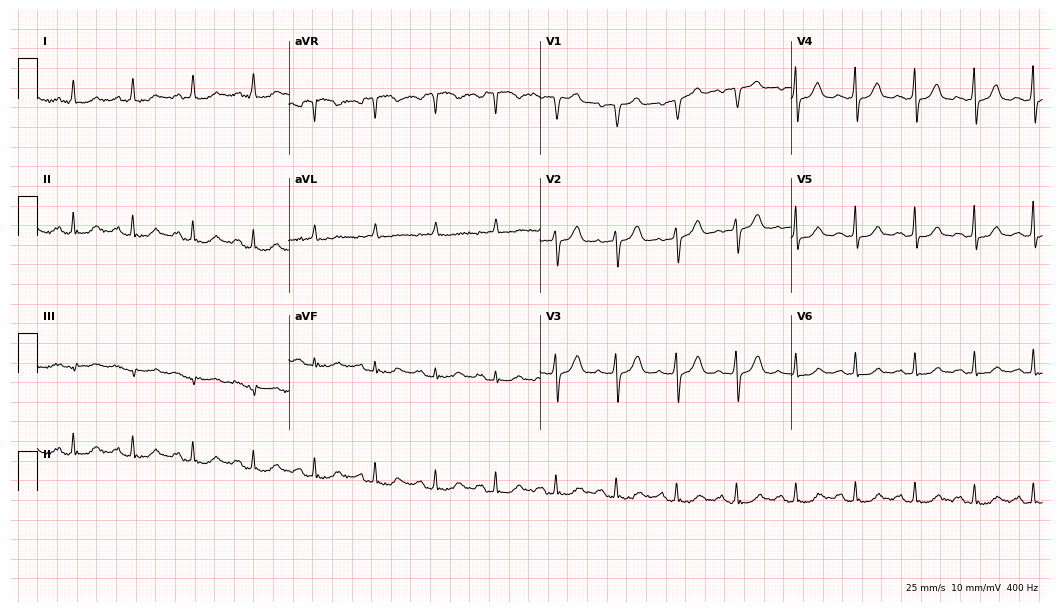
Resting 12-lead electrocardiogram (10.2-second recording at 400 Hz). Patient: a female, 57 years old. None of these six findings is recorded: first-degree AV block, right bundle branch block, left bundle branch block, sinus bradycardia, atrial fibrillation, sinus tachycardia. Other findings, if any, are not listed.